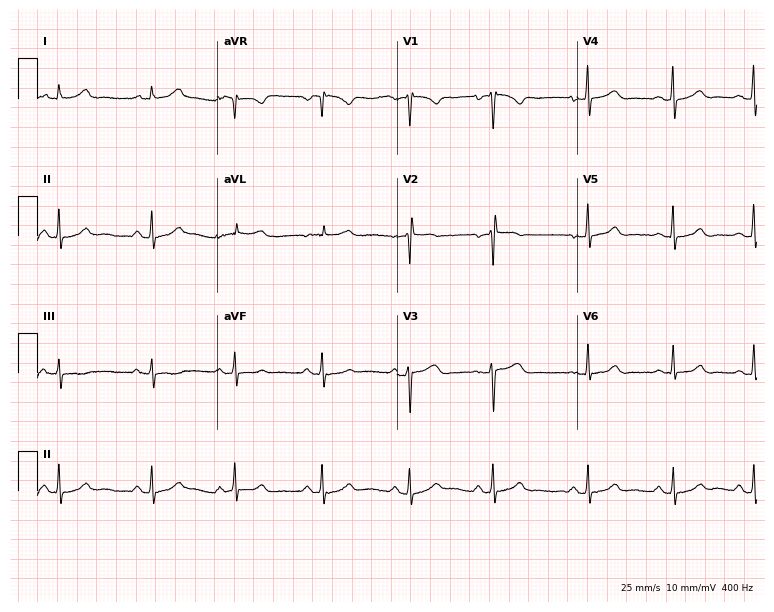
Standard 12-lead ECG recorded from a female, 24 years old (7.3-second recording at 400 Hz). Read as a normal ECG.